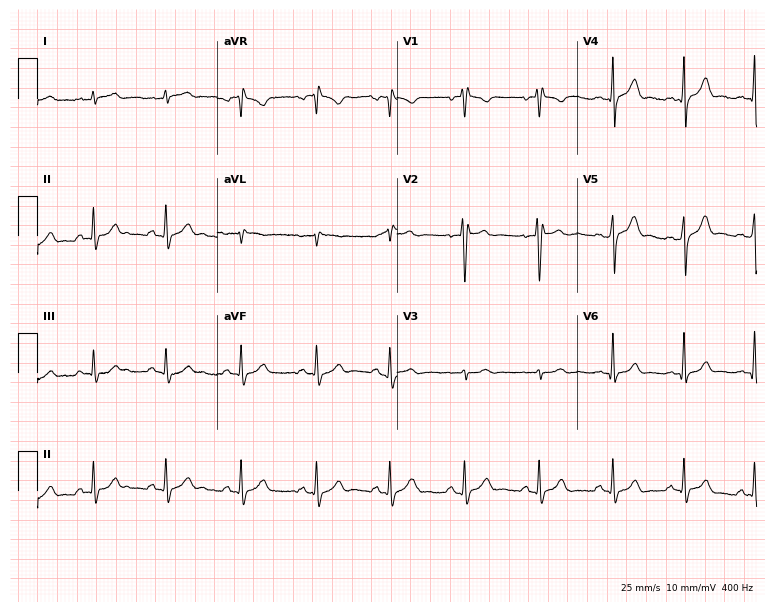
Resting 12-lead electrocardiogram (7.3-second recording at 400 Hz). Patient: a male, 19 years old. None of these six findings is recorded: first-degree AV block, right bundle branch block, left bundle branch block, sinus bradycardia, atrial fibrillation, sinus tachycardia.